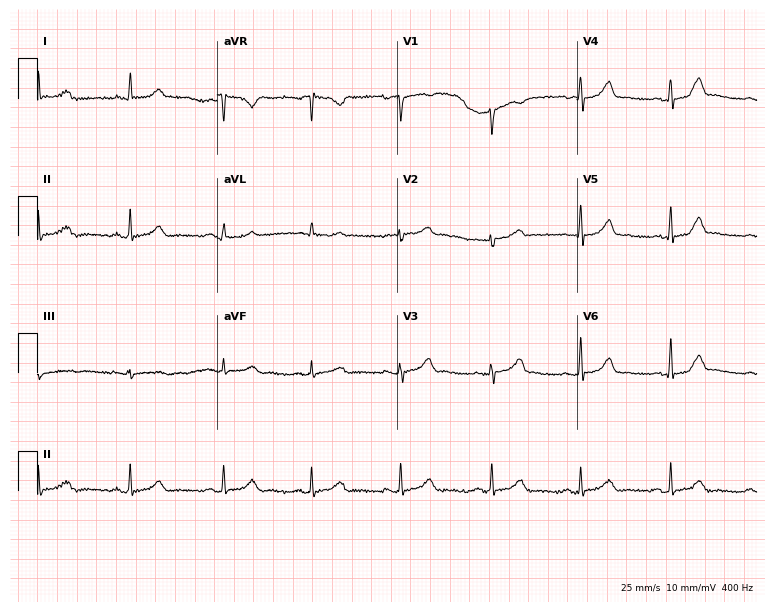
Standard 12-lead ECG recorded from a 55-year-old woman (7.3-second recording at 400 Hz). None of these six findings is recorded: first-degree AV block, right bundle branch block, left bundle branch block, sinus bradycardia, atrial fibrillation, sinus tachycardia. Findings outside these six are not listed.